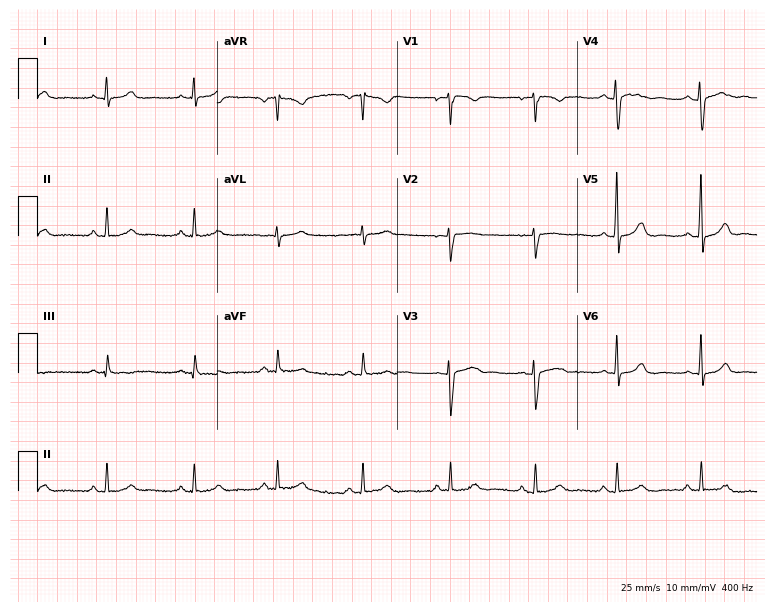
Standard 12-lead ECG recorded from a 24-year-old female. Read as a normal ECG.